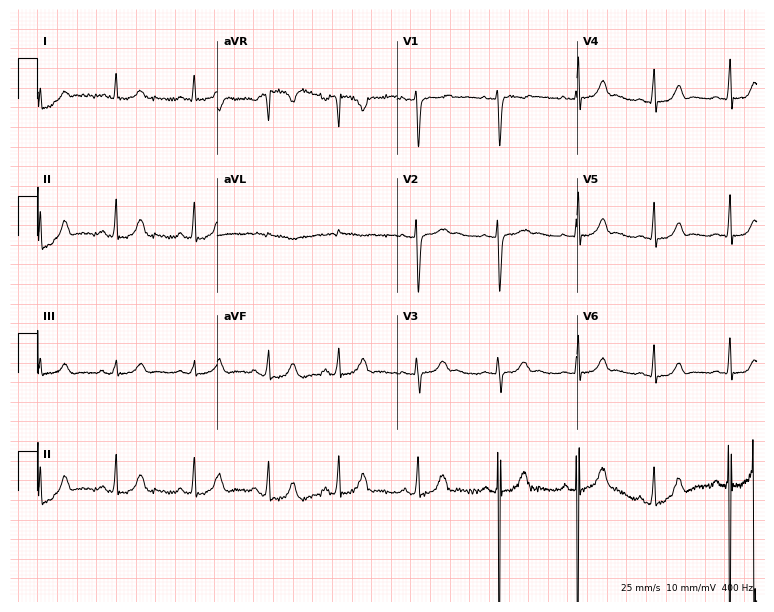
ECG — a 21-year-old female patient. Labelled as a normal ECG.